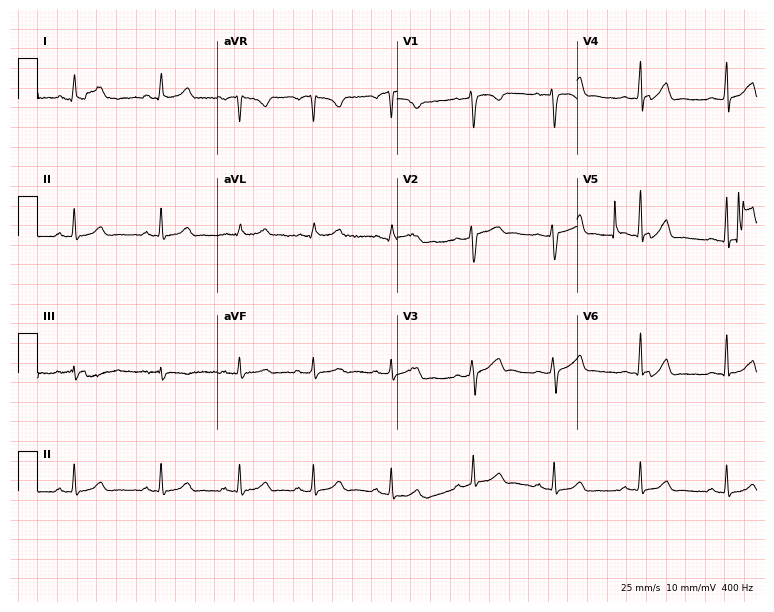
Standard 12-lead ECG recorded from a 34-year-old woman. Read as a normal ECG.